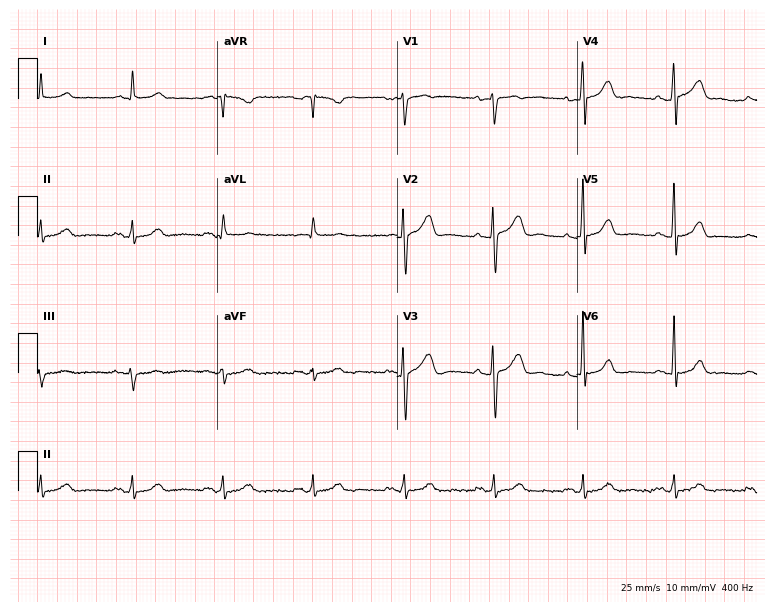
Resting 12-lead electrocardiogram. Patient: a 70-year-old male. None of these six findings is recorded: first-degree AV block, right bundle branch block, left bundle branch block, sinus bradycardia, atrial fibrillation, sinus tachycardia. Other findings, if any, are not listed.